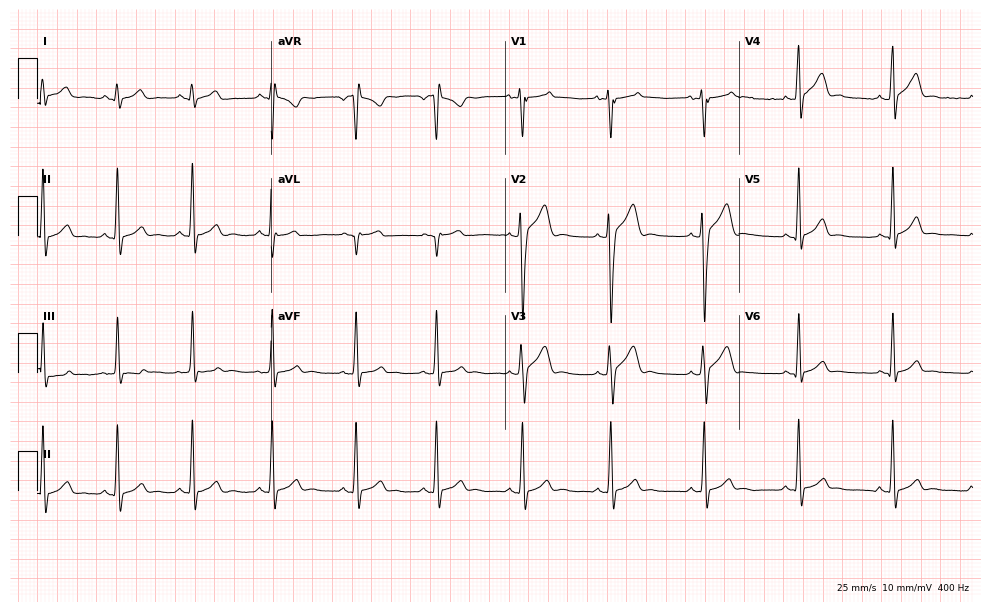
12-lead ECG (9.5-second recording at 400 Hz) from a 17-year-old man. Labelled as a normal ECG.